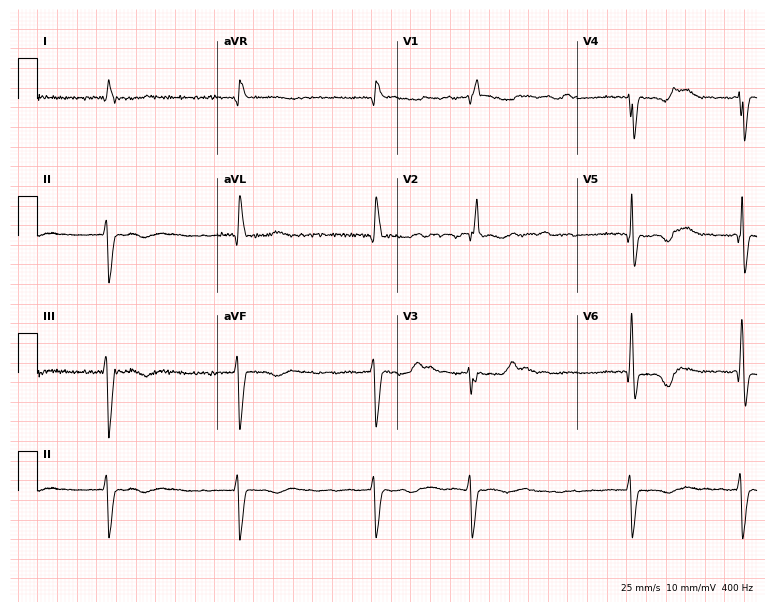
12-lead ECG (7.3-second recording at 400 Hz) from a 77-year-old woman. Findings include right bundle branch block, atrial fibrillation.